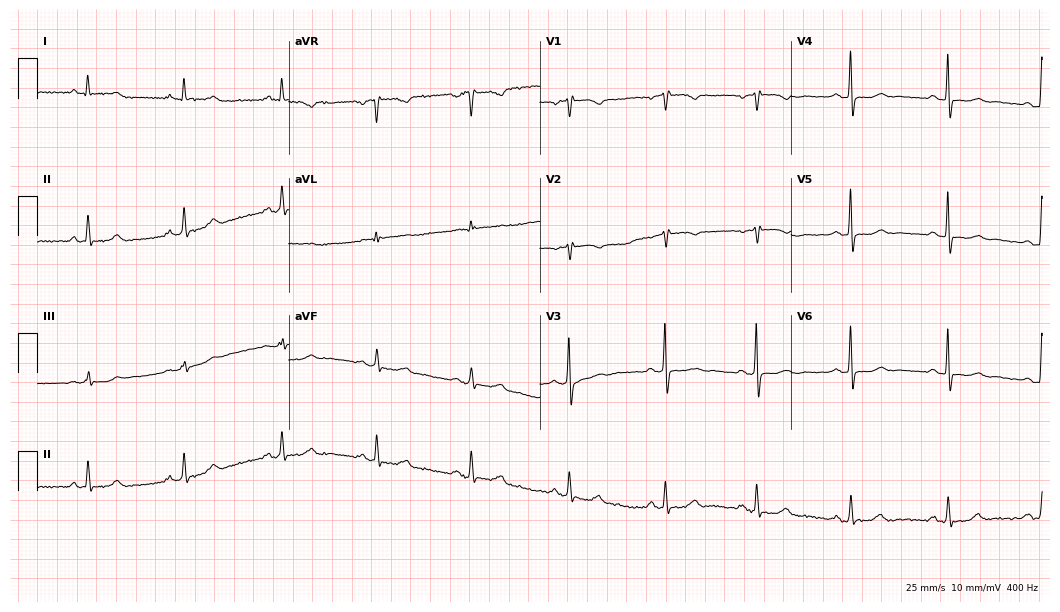
Electrocardiogram, a 53-year-old female. Of the six screened findings (first-degree AV block, right bundle branch block (RBBB), left bundle branch block (LBBB), sinus bradycardia, atrial fibrillation (AF), sinus tachycardia), none is recorded. Other findings, if any, are not listed.